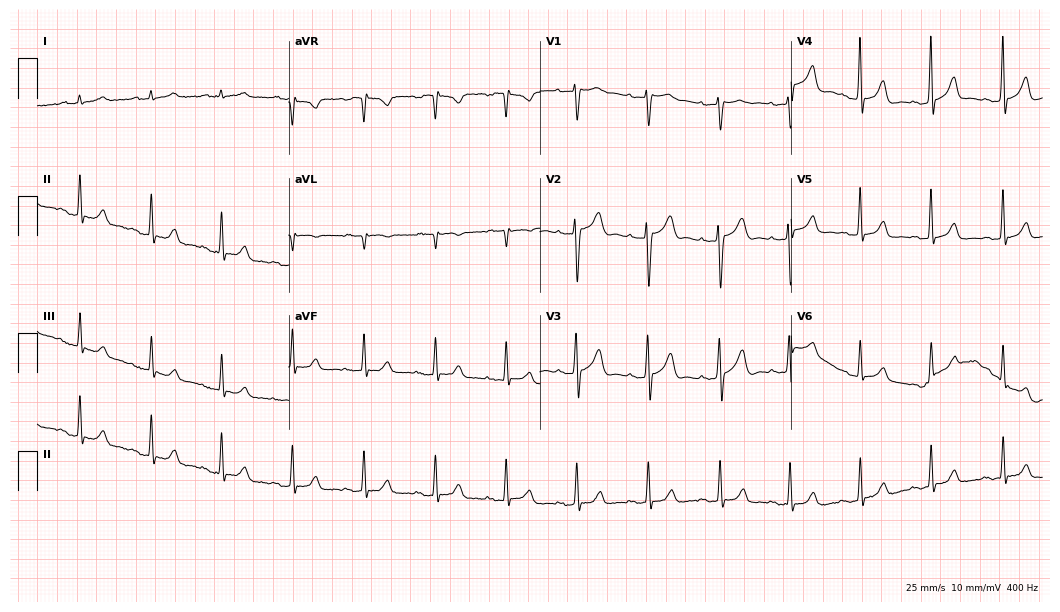
ECG — a male, 72 years old. Labelled as a normal ECG.